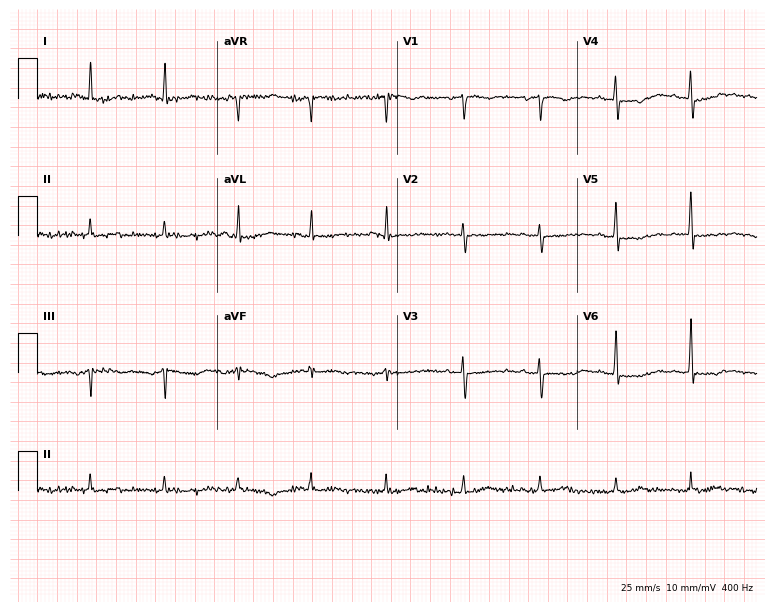
12-lead ECG from a male, 84 years old. No first-degree AV block, right bundle branch block (RBBB), left bundle branch block (LBBB), sinus bradycardia, atrial fibrillation (AF) or sinus tachycardia recorded for this tracing. Other findings, if any, are not listed.